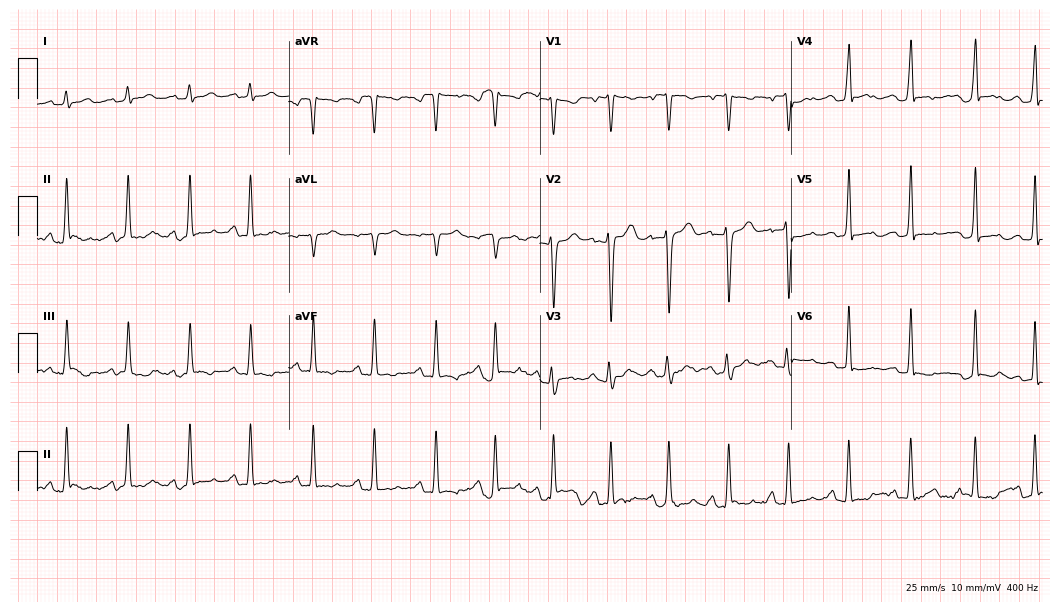
12-lead ECG from a male, 20 years old. No first-degree AV block, right bundle branch block, left bundle branch block, sinus bradycardia, atrial fibrillation or sinus tachycardia recorded for this tracing.